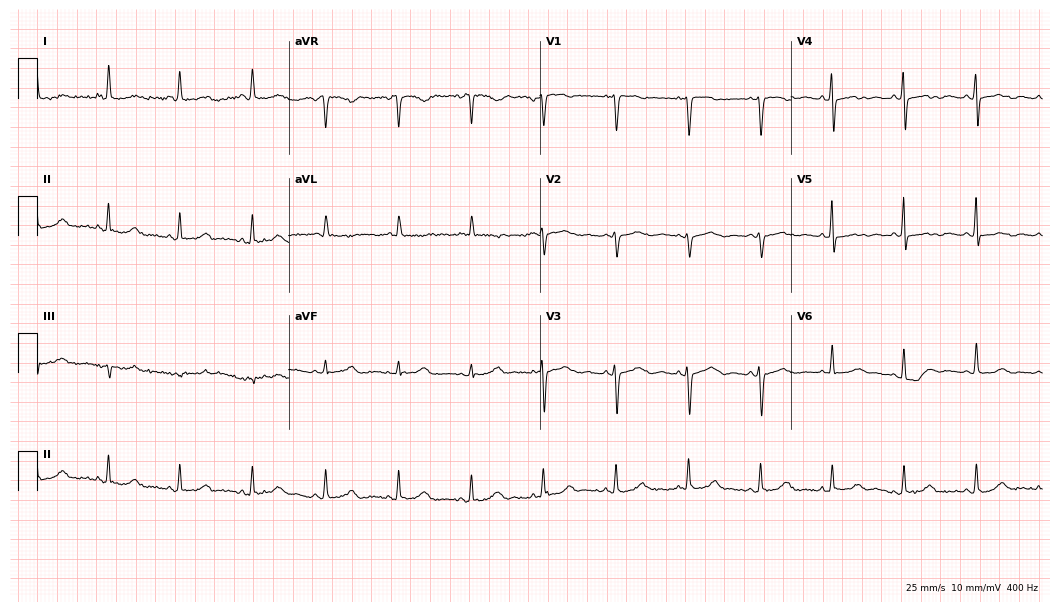
12-lead ECG from a 62-year-old female. No first-degree AV block, right bundle branch block, left bundle branch block, sinus bradycardia, atrial fibrillation or sinus tachycardia recorded for this tracing. Other findings, if any, are not listed.